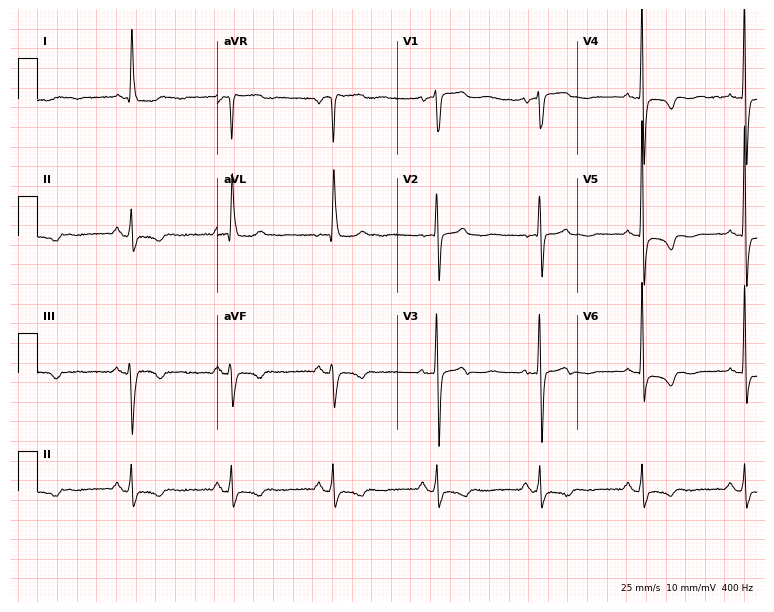
Standard 12-lead ECG recorded from a woman, 82 years old (7.3-second recording at 400 Hz). None of these six findings is recorded: first-degree AV block, right bundle branch block, left bundle branch block, sinus bradycardia, atrial fibrillation, sinus tachycardia. Findings outside these six are not listed.